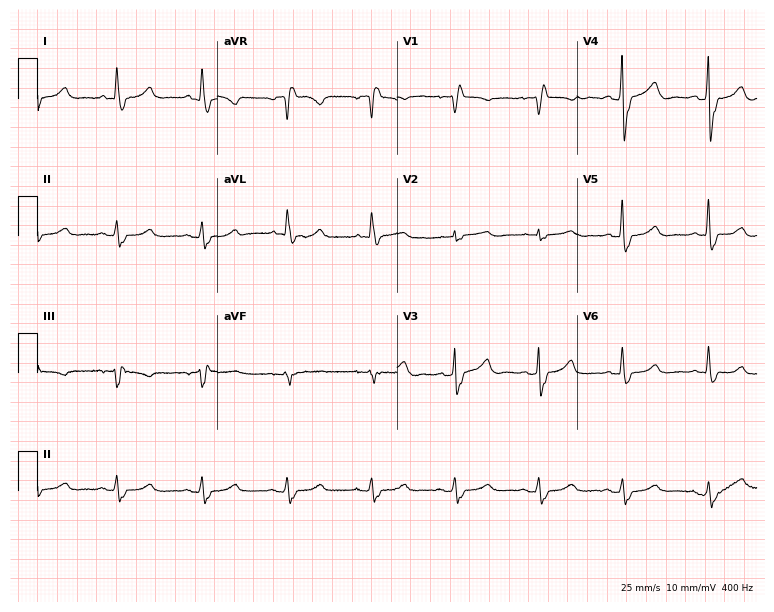
Electrocardiogram, a 77-year-old female. Interpretation includes right bundle branch block (RBBB).